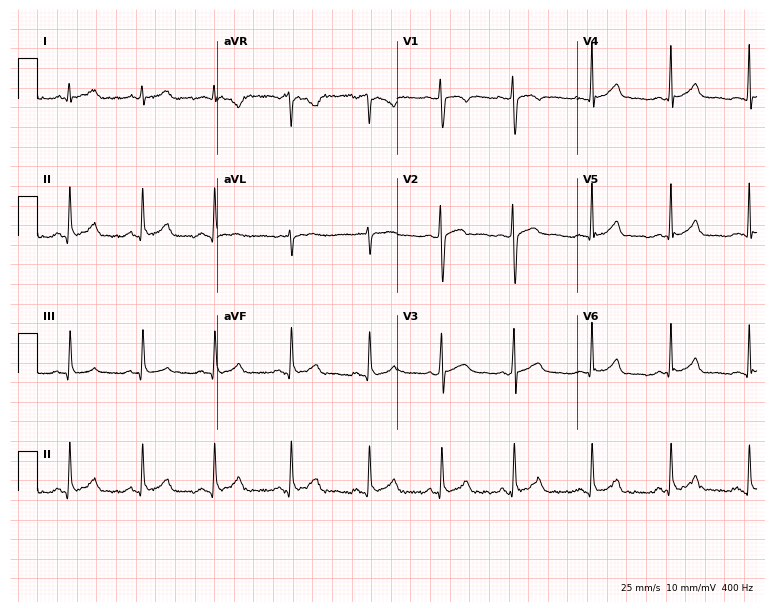
Standard 12-lead ECG recorded from a woman, 30 years old. Read as a normal ECG.